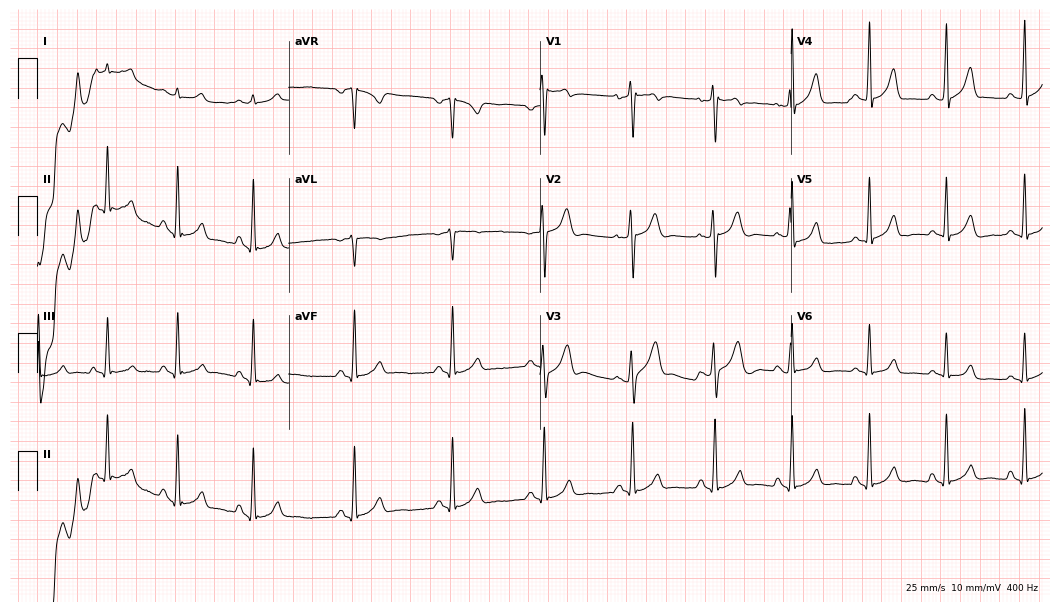
ECG (10.2-second recording at 400 Hz) — a male patient, 39 years old. Labelled as a normal ECG.